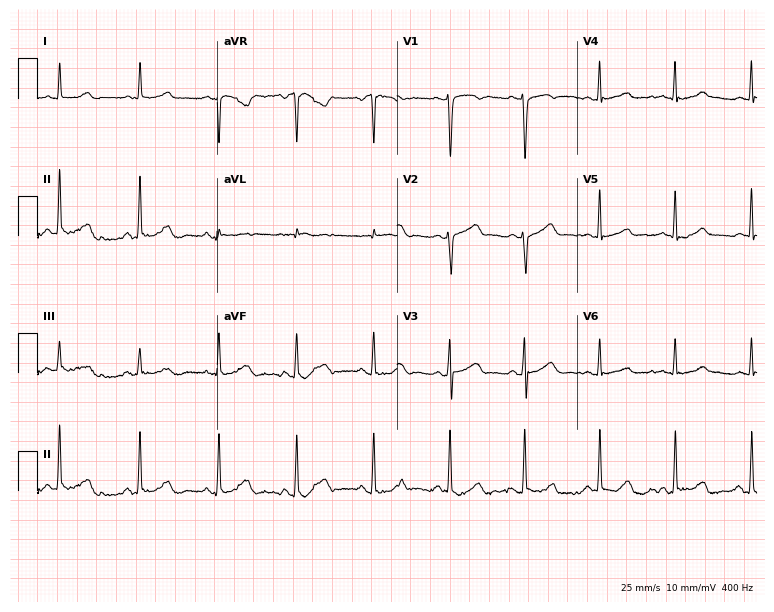
12-lead ECG from a female patient, 49 years old. Recorded interpretation: within normal limits.